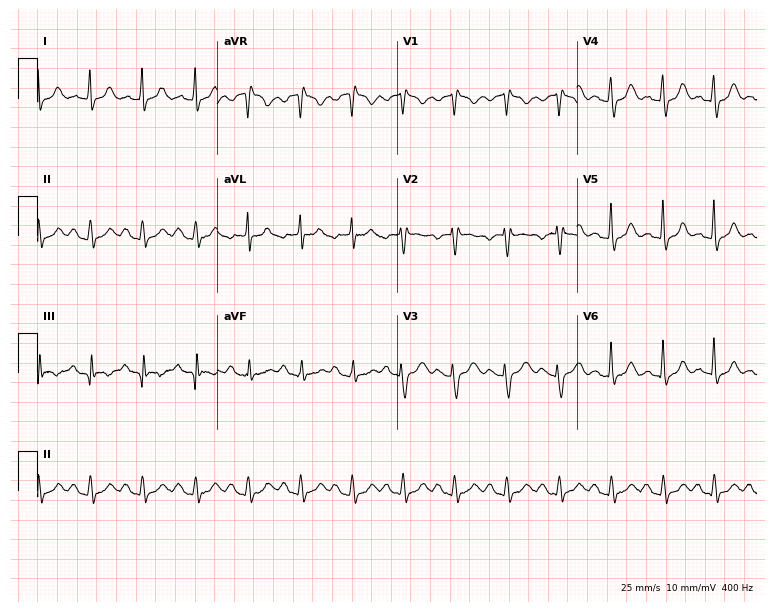
ECG — a 32-year-old female. Screened for six findings — first-degree AV block, right bundle branch block, left bundle branch block, sinus bradycardia, atrial fibrillation, sinus tachycardia — none is recorded. Findings outside these six are not listed.